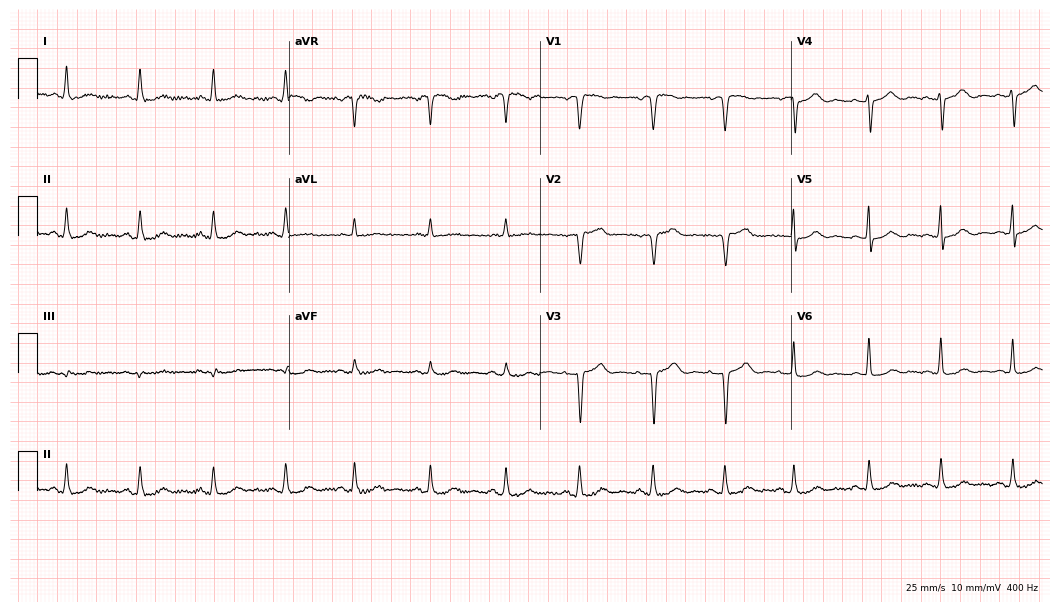
12-lead ECG from a female patient, 81 years old (10.2-second recording at 400 Hz). No first-degree AV block, right bundle branch block, left bundle branch block, sinus bradycardia, atrial fibrillation or sinus tachycardia recorded for this tracing. Only these six findings were labelled.